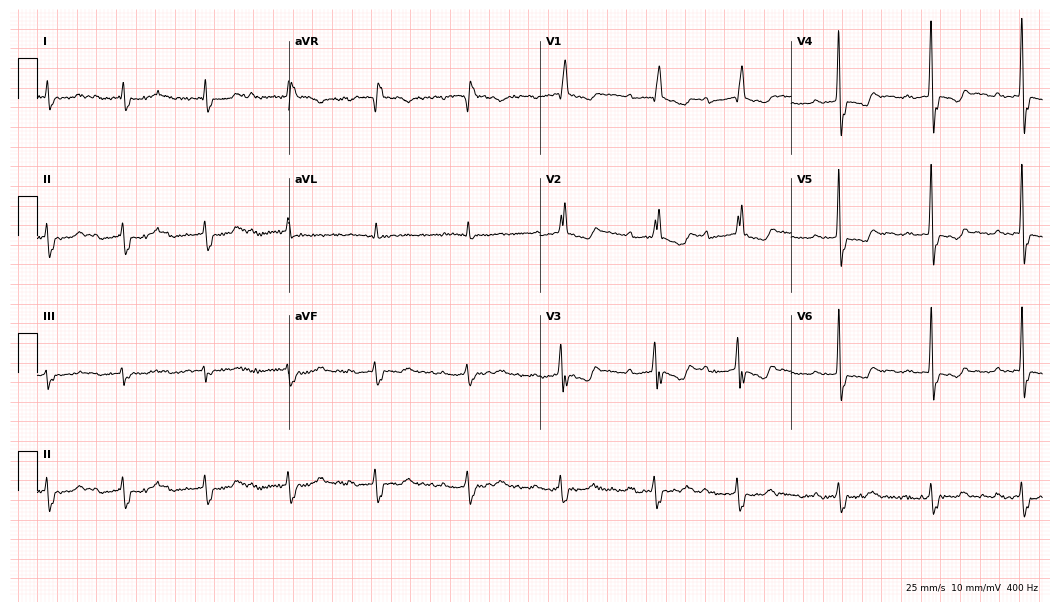
Standard 12-lead ECG recorded from a male patient, 80 years old. The tracing shows right bundle branch block.